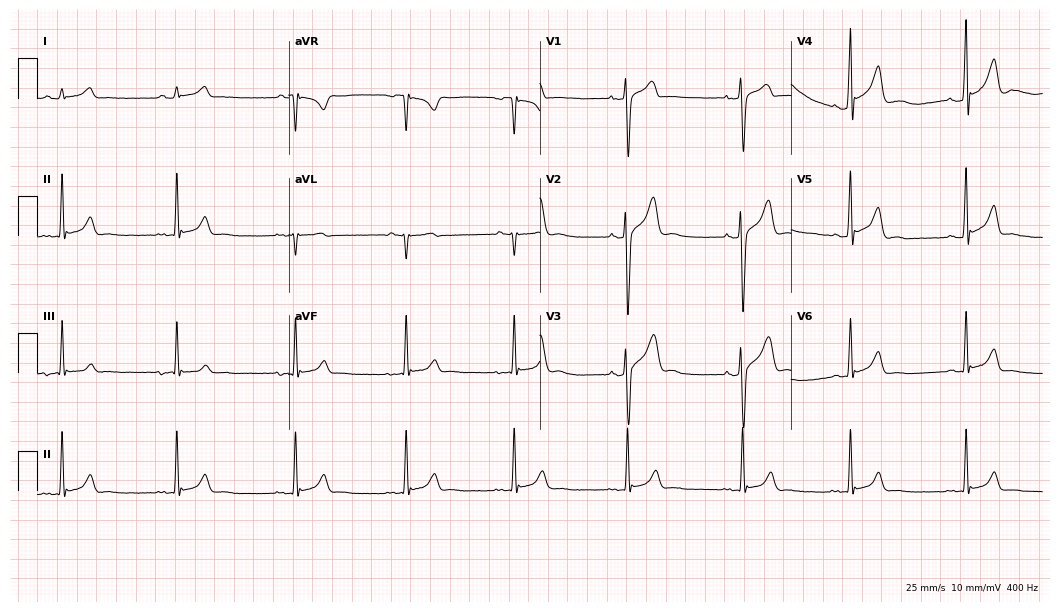
ECG — a male, 27 years old. Labelled as a normal ECG.